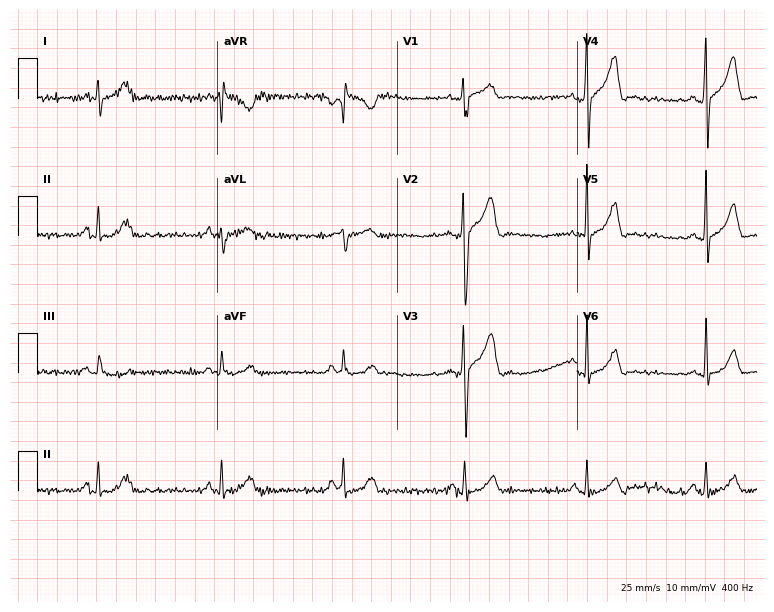
Resting 12-lead electrocardiogram (7.3-second recording at 400 Hz). Patient: a 26-year-old man. None of these six findings is recorded: first-degree AV block, right bundle branch block, left bundle branch block, sinus bradycardia, atrial fibrillation, sinus tachycardia.